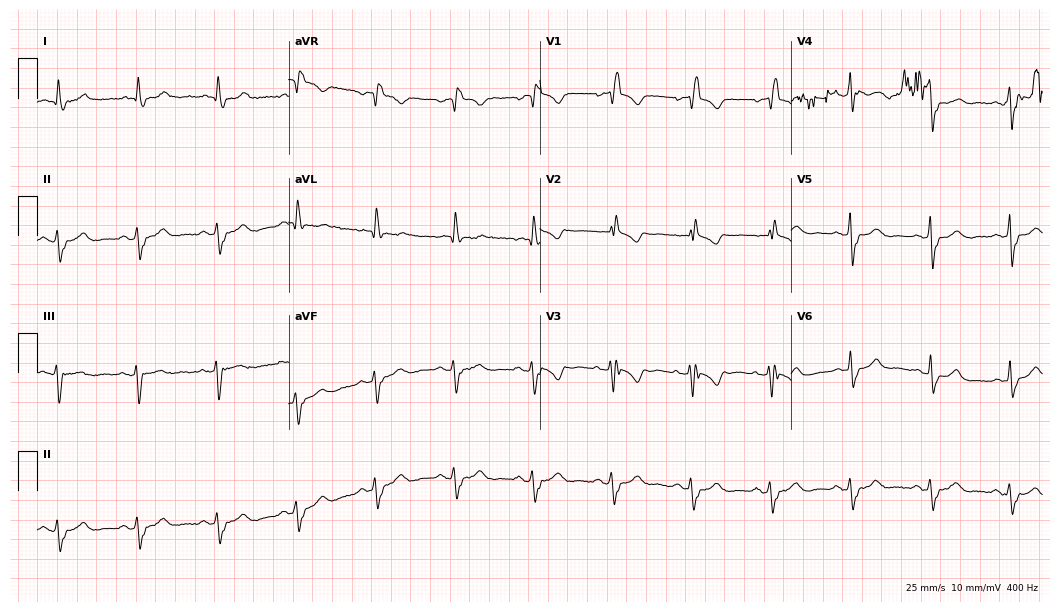
Standard 12-lead ECG recorded from a woman, 72 years old. The tracing shows right bundle branch block.